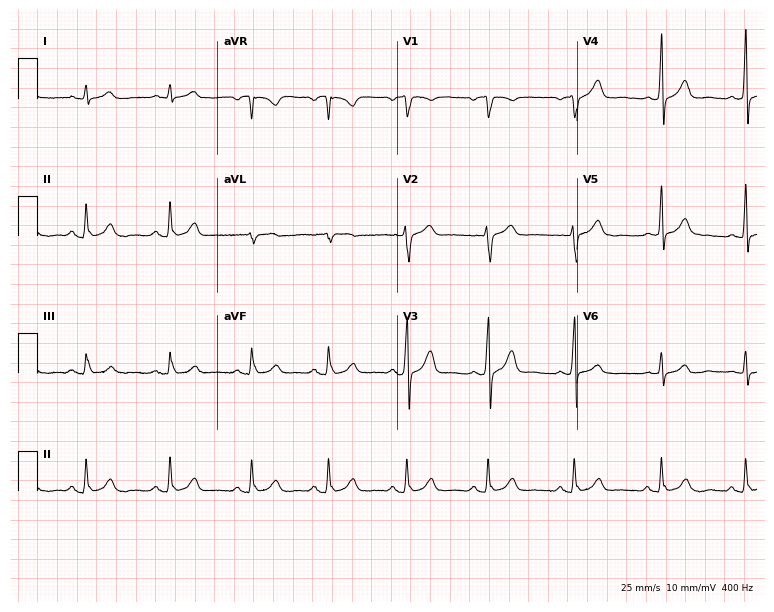
12-lead ECG from a 44-year-old male patient (7.3-second recording at 400 Hz). Recorded interpretation: within normal limits.